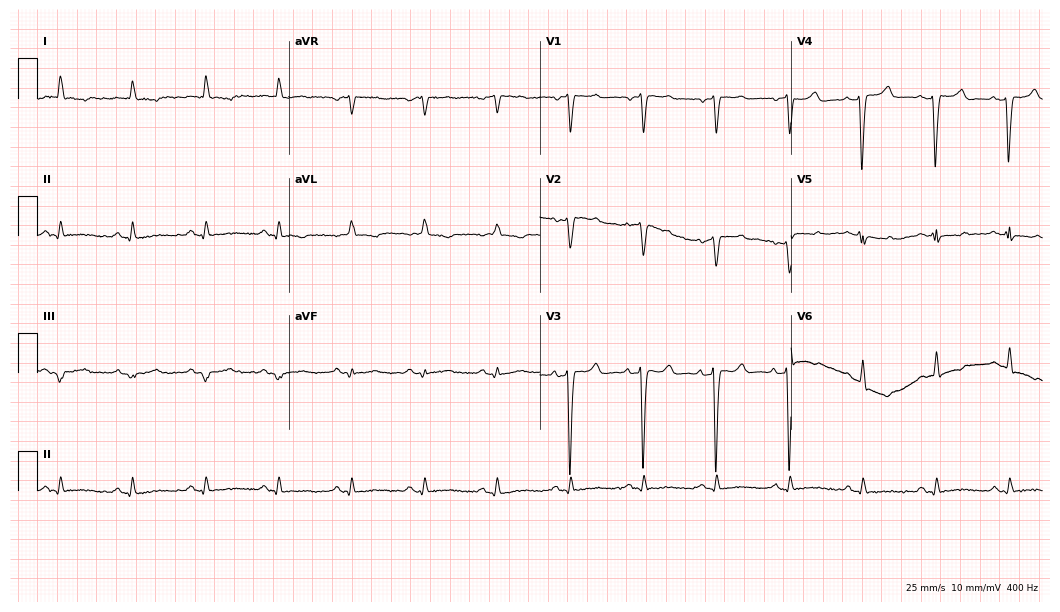
ECG (10.2-second recording at 400 Hz) — an 85-year-old female patient. Screened for six findings — first-degree AV block, right bundle branch block (RBBB), left bundle branch block (LBBB), sinus bradycardia, atrial fibrillation (AF), sinus tachycardia — none is recorded. Findings outside these six are not listed.